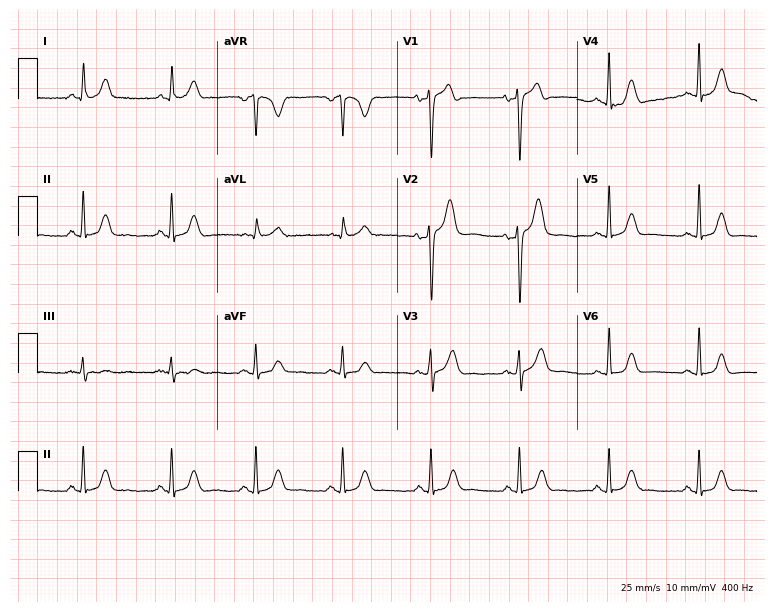
Resting 12-lead electrocardiogram. Patient: a 50-year-old female. None of these six findings is recorded: first-degree AV block, right bundle branch block, left bundle branch block, sinus bradycardia, atrial fibrillation, sinus tachycardia.